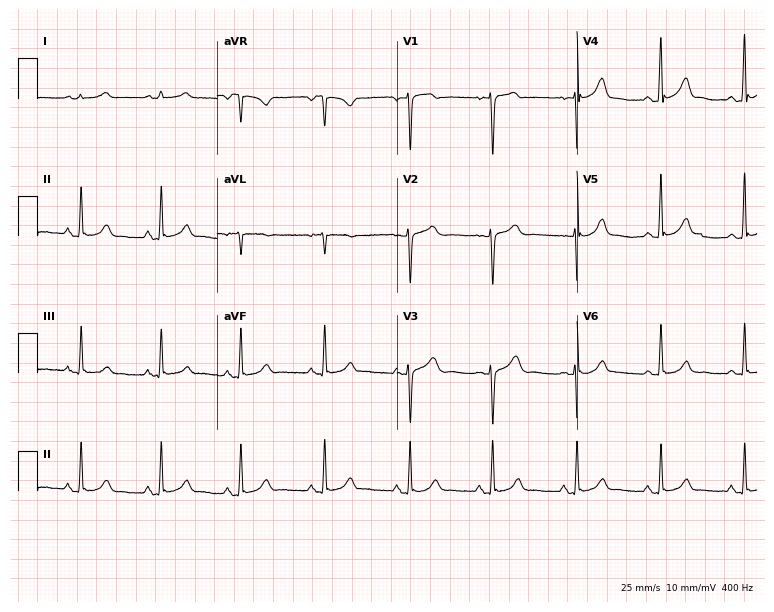
Resting 12-lead electrocardiogram (7.3-second recording at 400 Hz). Patient: a 32-year-old female. Read as a normal ECG.